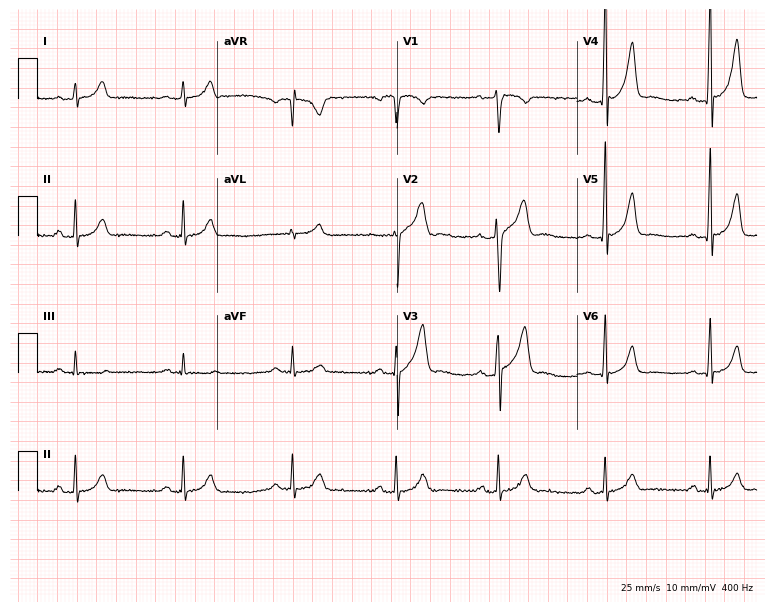
12-lead ECG from a 36-year-old man. Labelled as a normal ECG.